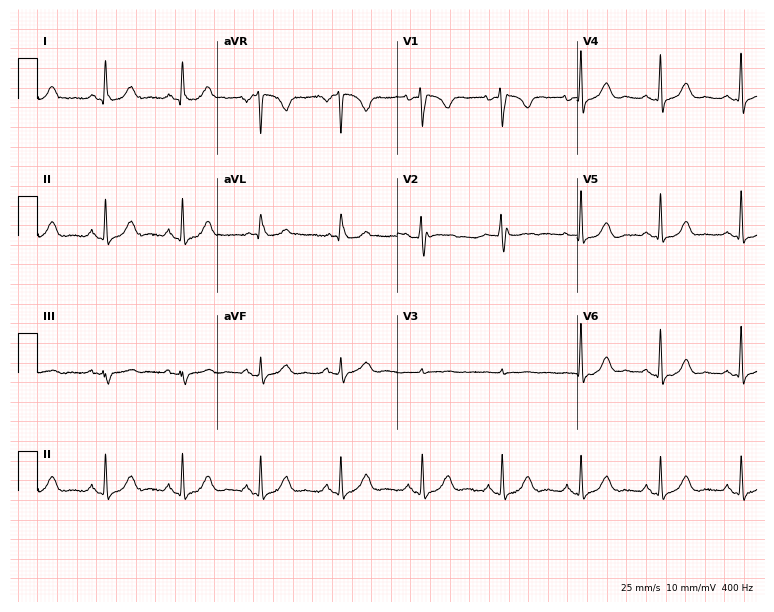
Electrocardiogram (7.3-second recording at 400 Hz), a 48-year-old female. Overall reading on record: normal ECG.